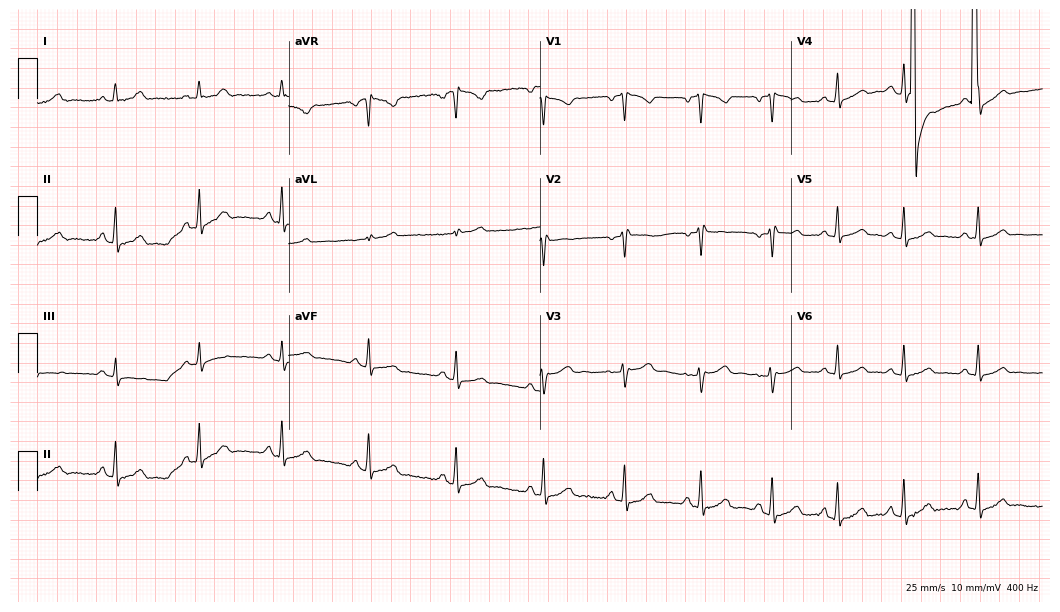
Standard 12-lead ECG recorded from a female, 27 years old. None of these six findings is recorded: first-degree AV block, right bundle branch block, left bundle branch block, sinus bradycardia, atrial fibrillation, sinus tachycardia.